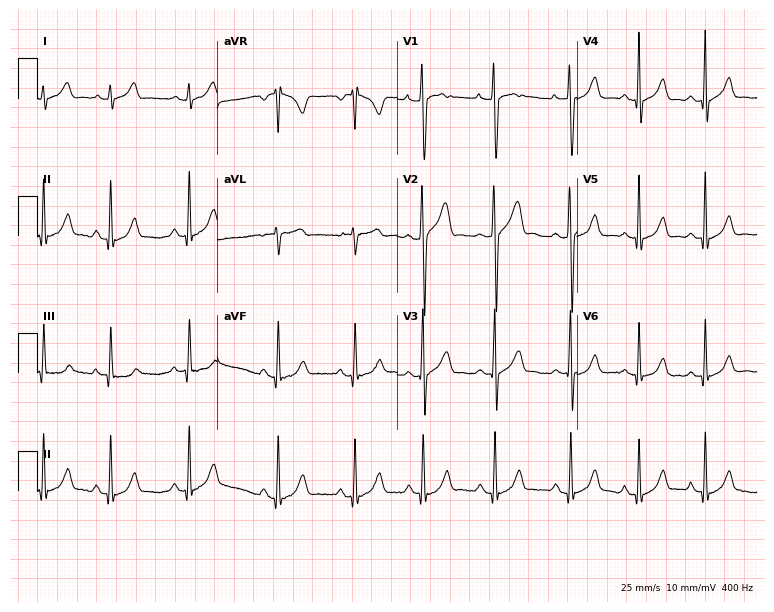
Standard 12-lead ECG recorded from a 19-year-old man. Read as a normal ECG.